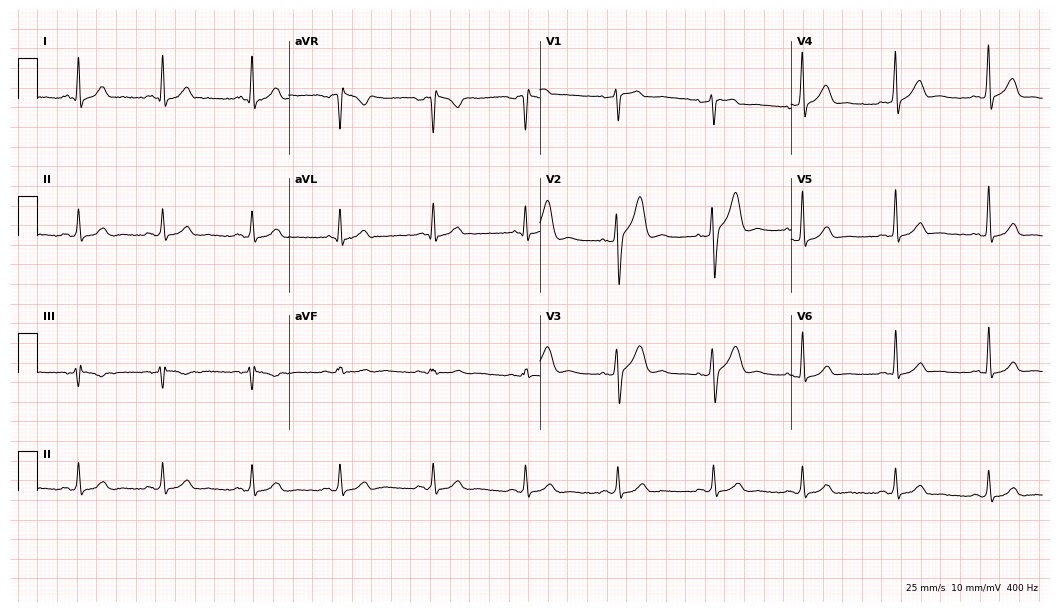
Resting 12-lead electrocardiogram. Patient: a male, 38 years old. Read as a normal ECG.